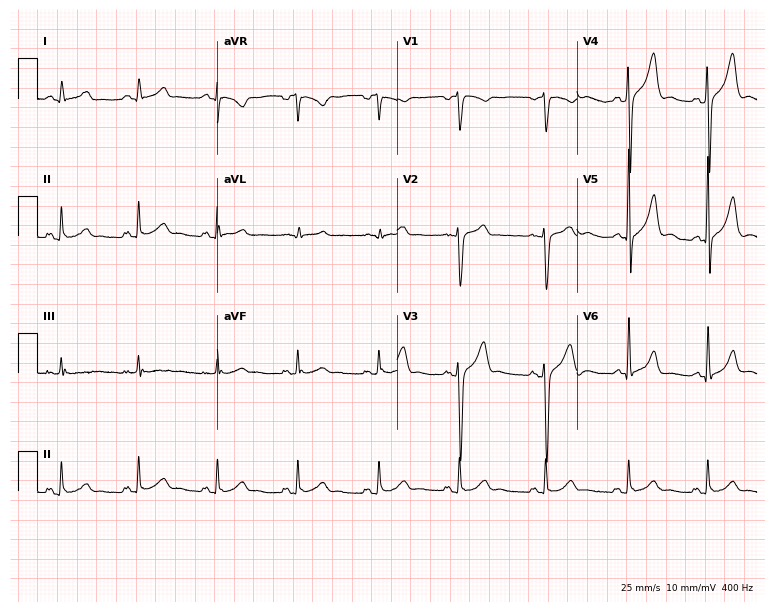
12-lead ECG from a 35-year-old male (7.3-second recording at 400 Hz). Recorded interpretation: within normal limits.